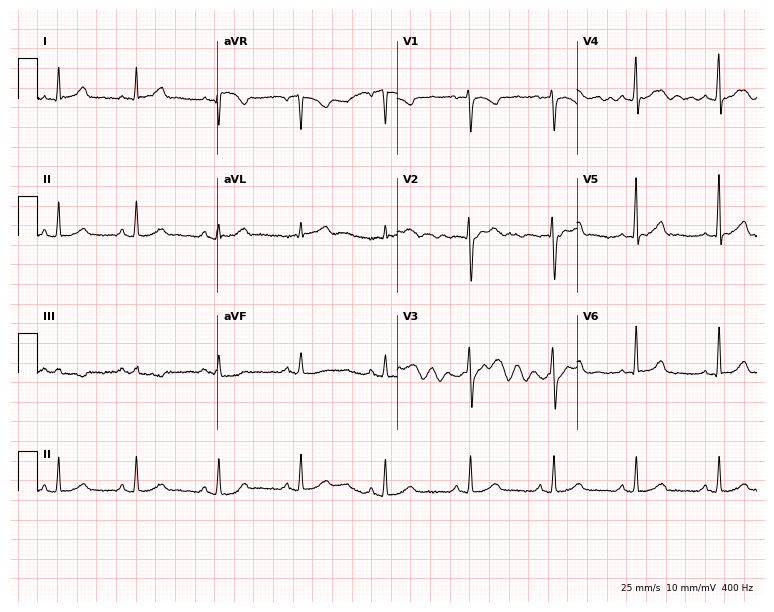
12-lead ECG from a 36-year-old female. Labelled as a normal ECG.